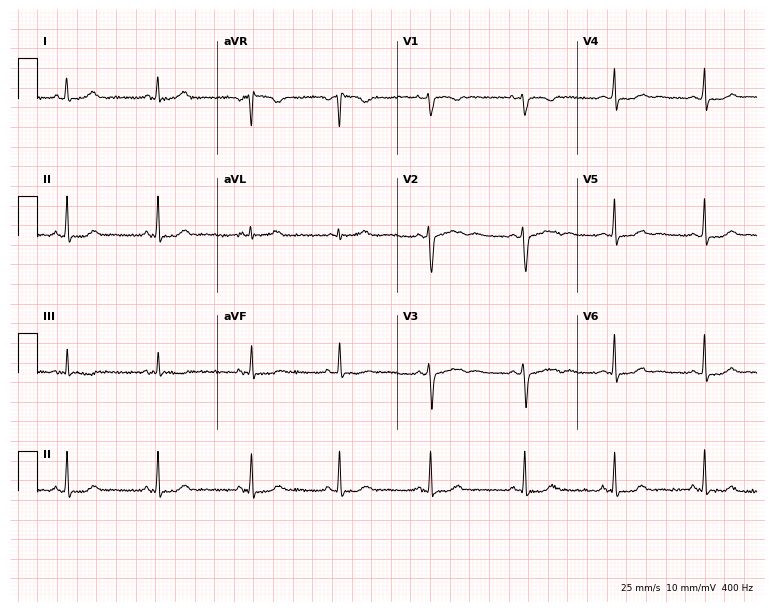
Electrocardiogram, a female, 31 years old. Of the six screened findings (first-degree AV block, right bundle branch block, left bundle branch block, sinus bradycardia, atrial fibrillation, sinus tachycardia), none is recorded.